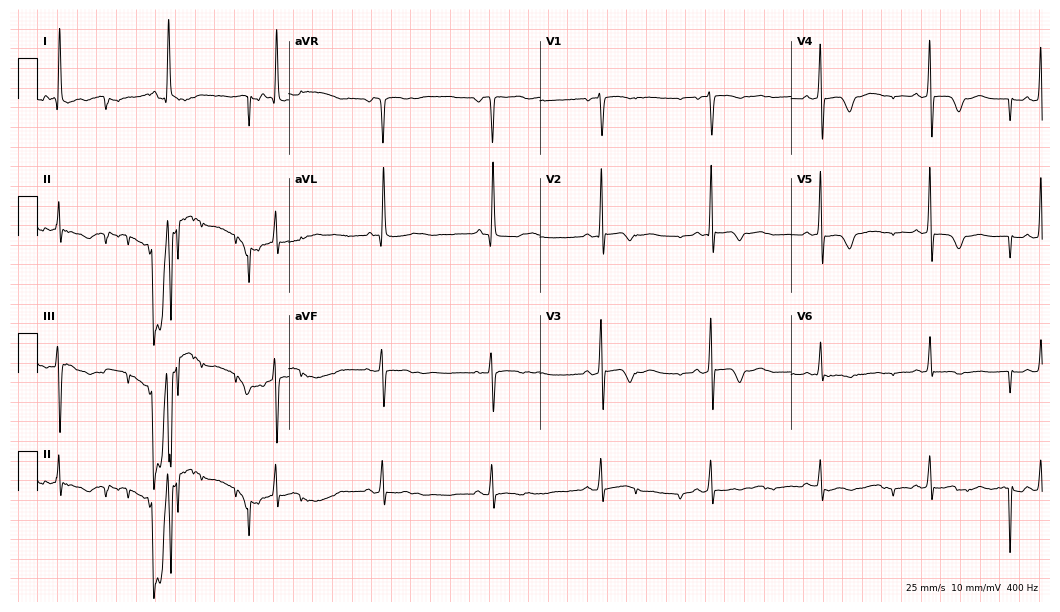
Standard 12-lead ECG recorded from a female patient, 71 years old. None of these six findings is recorded: first-degree AV block, right bundle branch block (RBBB), left bundle branch block (LBBB), sinus bradycardia, atrial fibrillation (AF), sinus tachycardia. Findings outside these six are not listed.